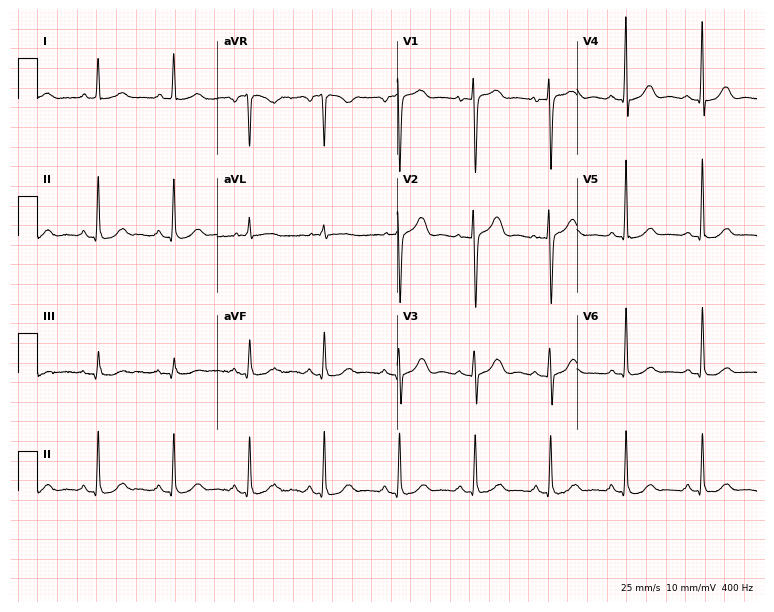
Resting 12-lead electrocardiogram. Patient: an 86-year-old female. Read as a normal ECG.